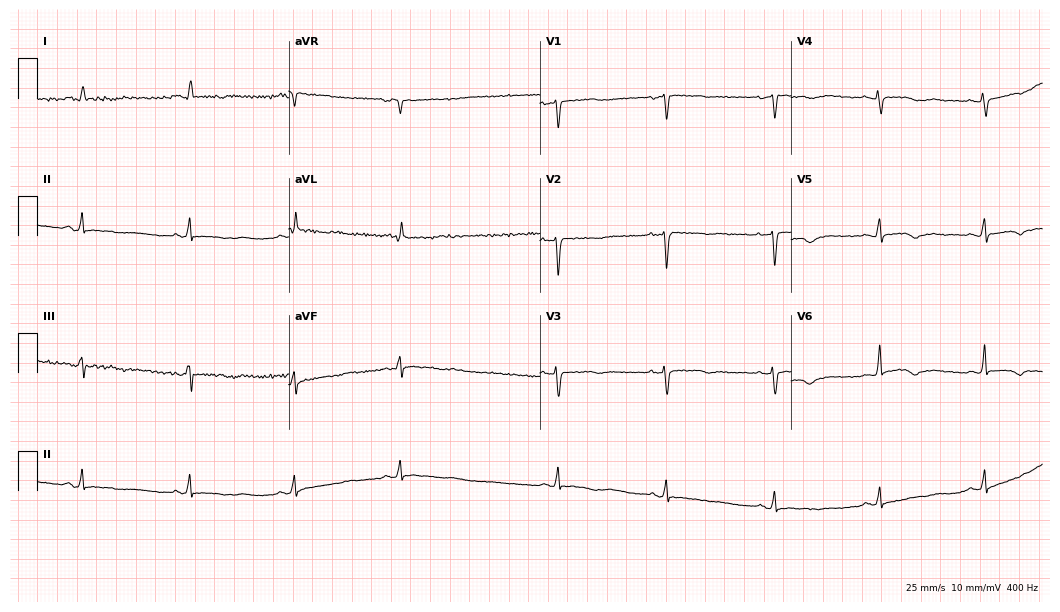
Electrocardiogram, a female, 54 years old. Of the six screened findings (first-degree AV block, right bundle branch block, left bundle branch block, sinus bradycardia, atrial fibrillation, sinus tachycardia), none is recorded.